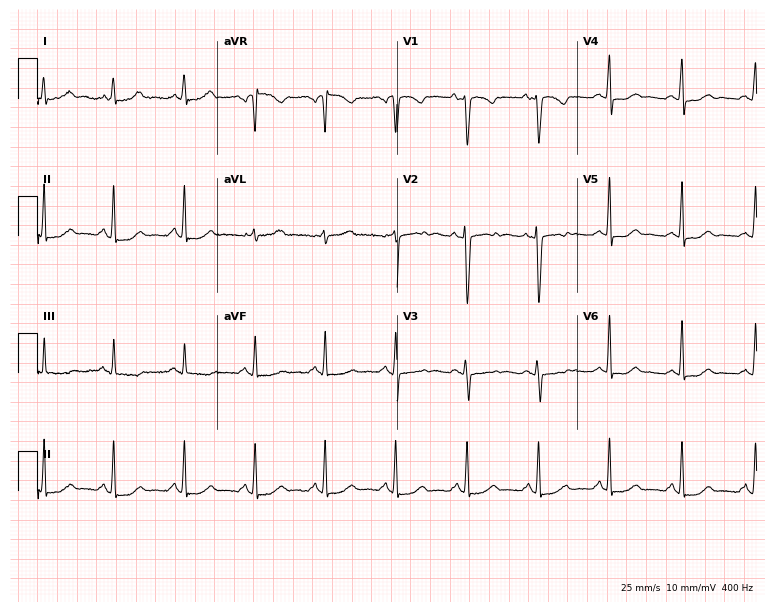
12-lead ECG from a female, 31 years old. Recorded interpretation: within normal limits.